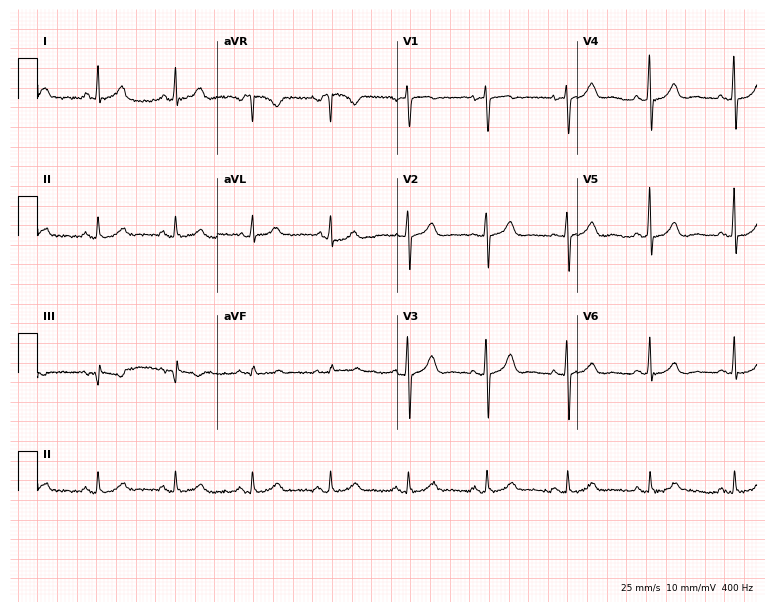
ECG — a woman, 63 years old. Labelled as a normal ECG.